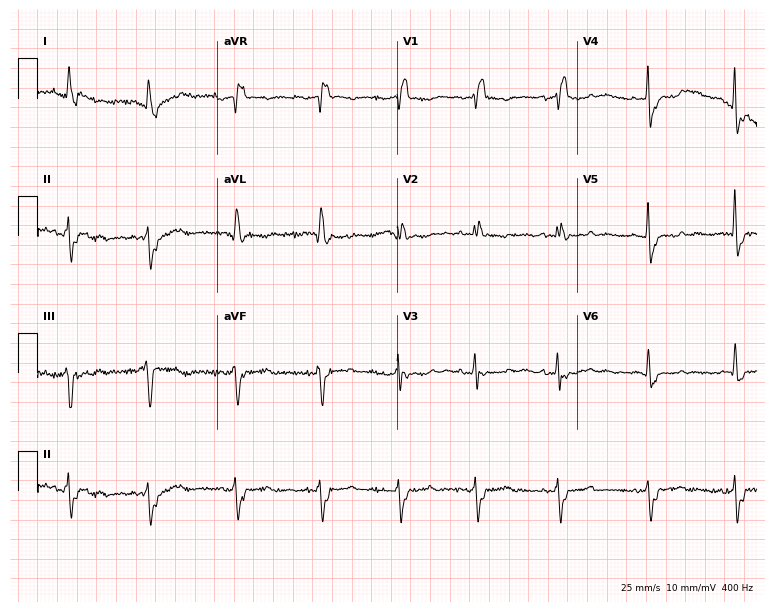
Electrocardiogram, a 67-year-old woman. Interpretation includes right bundle branch block.